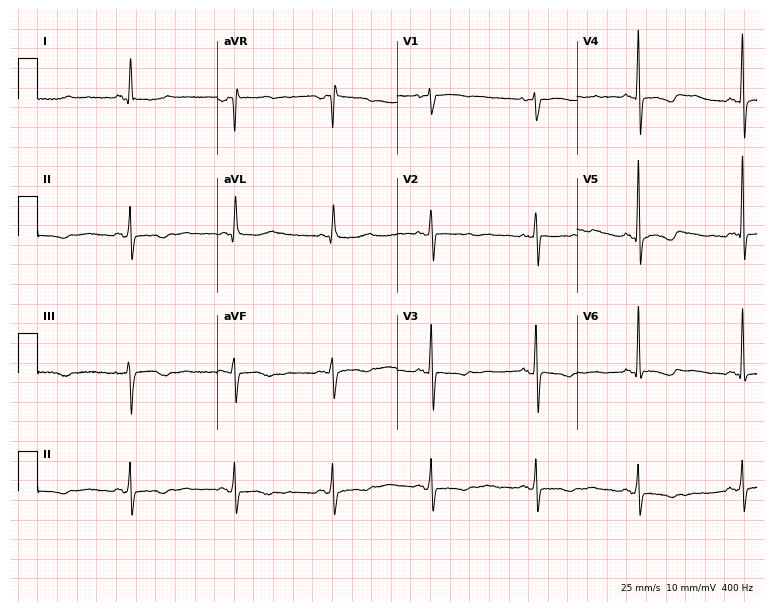
12-lead ECG (7.3-second recording at 400 Hz) from a 49-year-old woman. Screened for six findings — first-degree AV block, right bundle branch block (RBBB), left bundle branch block (LBBB), sinus bradycardia, atrial fibrillation (AF), sinus tachycardia — none is recorded.